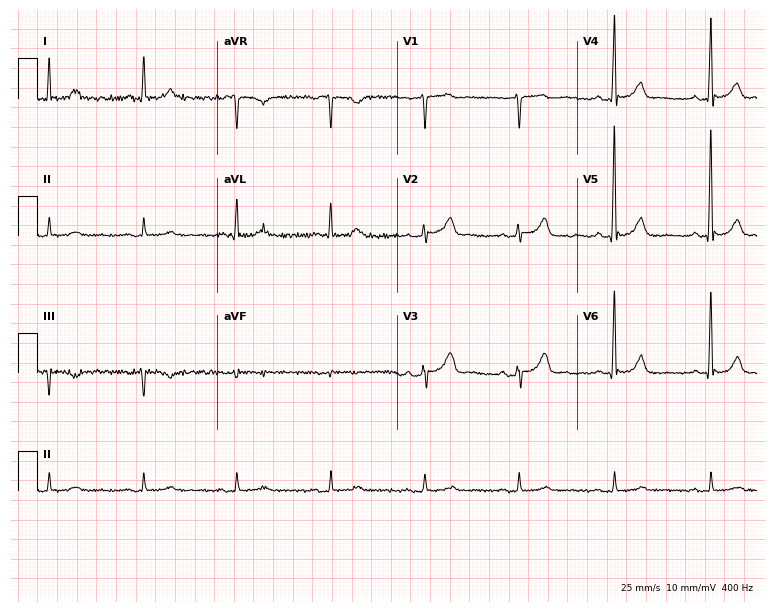
Resting 12-lead electrocardiogram. Patient: a male, 83 years old. Read as a normal ECG.